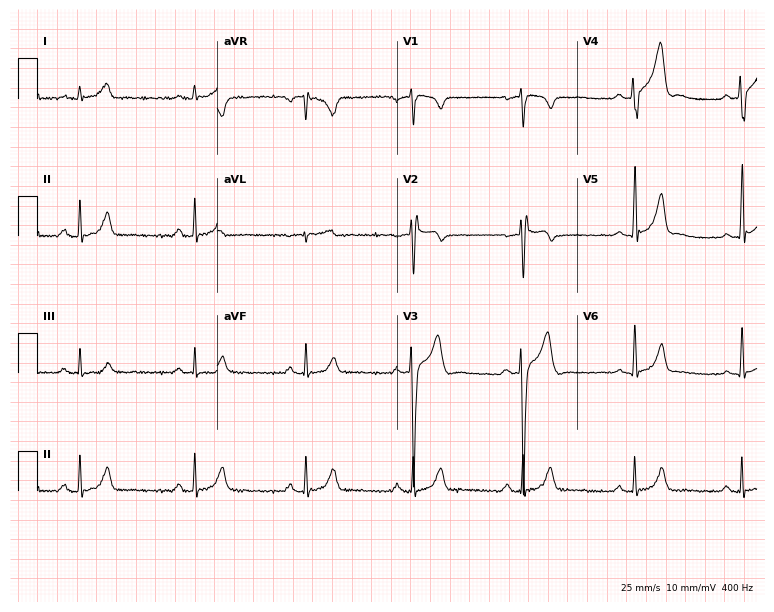
Standard 12-lead ECG recorded from a 30-year-old male patient (7.3-second recording at 400 Hz). None of these six findings is recorded: first-degree AV block, right bundle branch block, left bundle branch block, sinus bradycardia, atrial fibrillation, sinus tachycardia.